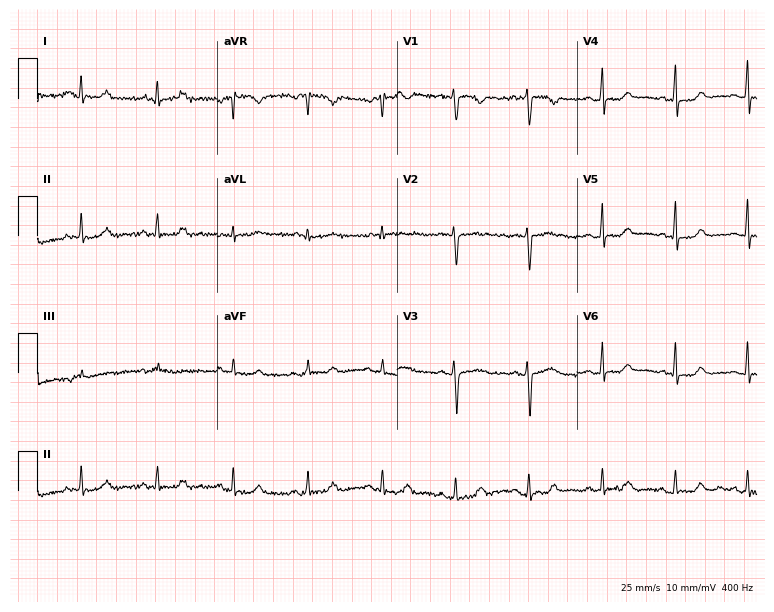
12-lead ECG (7.3-second recording at 400 Hz) from a 51-year-old woman. Labelled as a normal ECG.